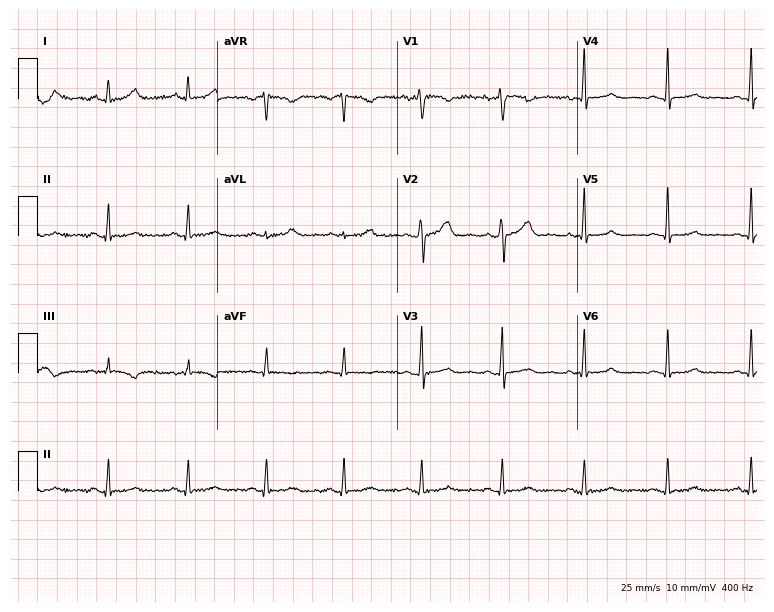
Standard 12-lead ECG recorded from a 42-year-old woman (7.3-second recording at 400 Hz). Read as a normal ECG.